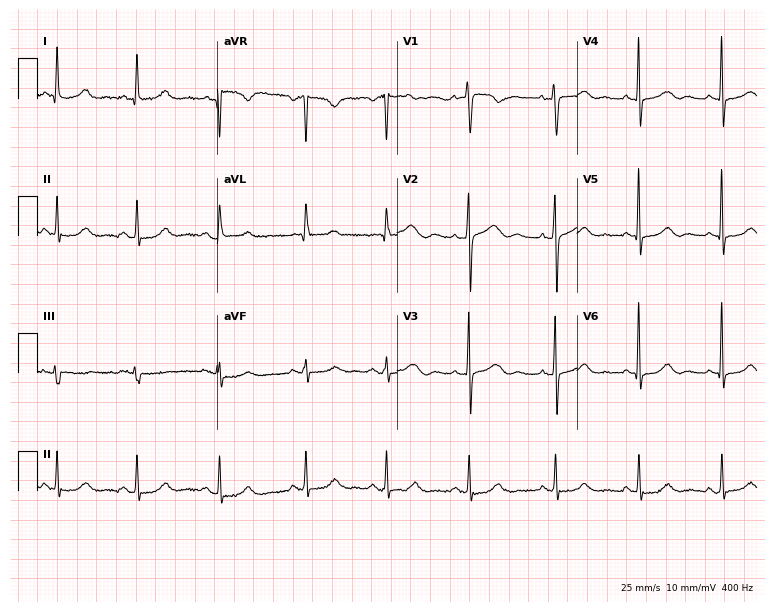
12-lead ECG from a female patient, 55 years old. No first-degree AV block, right bundle branch block, left bundle branch block, sinus bradycardia, atrial fibrillation or sinus tachycardia recorded for this tracing.